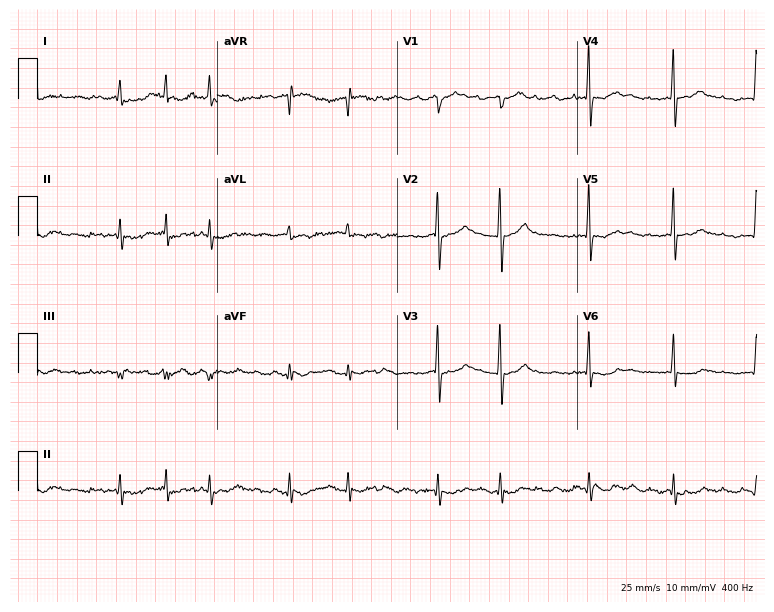
12-lead ECG (7.3-second recording at 400 Hz) from a 52-year-old male. Findings include atrial fibrillation.